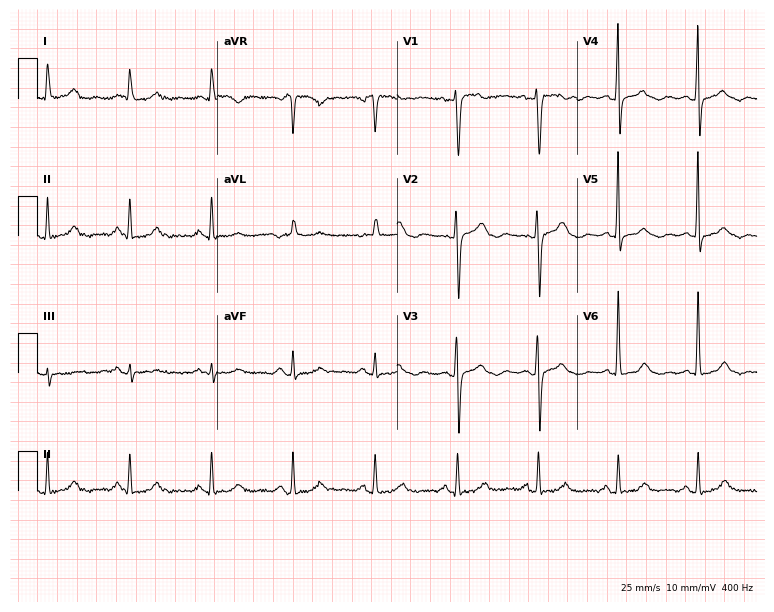
12-lead ECG from a female patient, 58 years old (7.3-second recording at 400 Hz). Recorded interpretation: within normal limits.